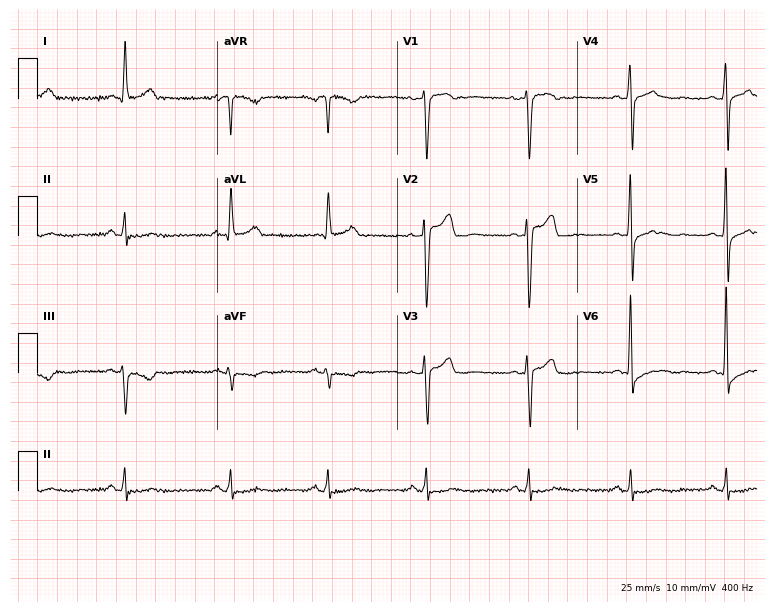
Electrocardiogram, a 53-year-old male patient. Of the six screened findings (first-degree AV block, right bundle branch block, left bundle branch block, sinus bradycardia, atrial fibrillation, sinus tachycardia), none is recorded.